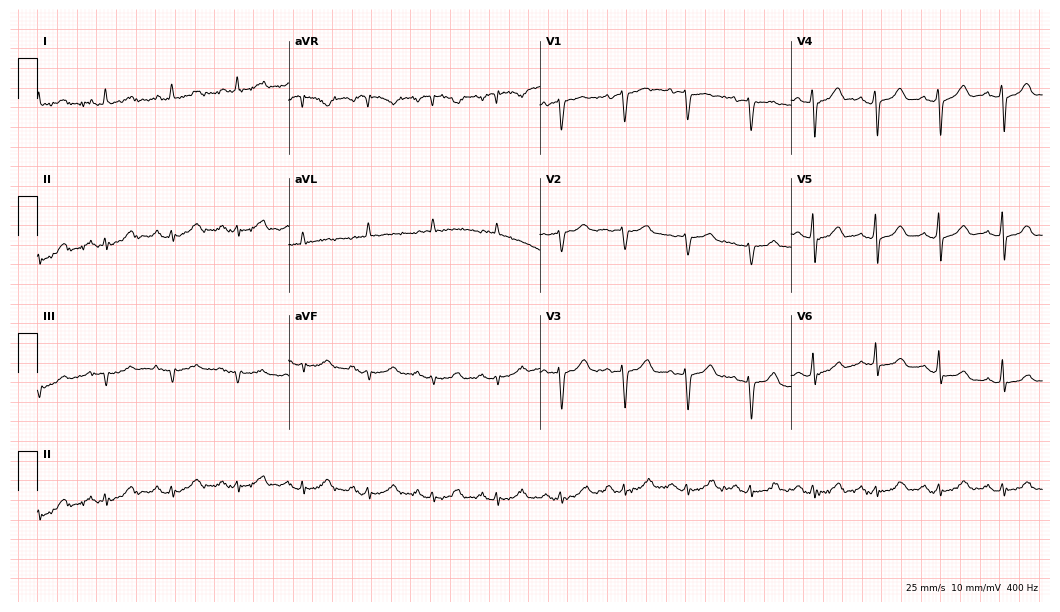
12-lead ECG (10.2-second recording at 400 Hz) from a 70-year-old female. Screened for six findings — first-degree AV block, right bundle branch block, left bundle branch block, sinus bradycardia, atrial fibrillation, sinus tachycardia — none is recorded. Other findings, if any, are not listed.